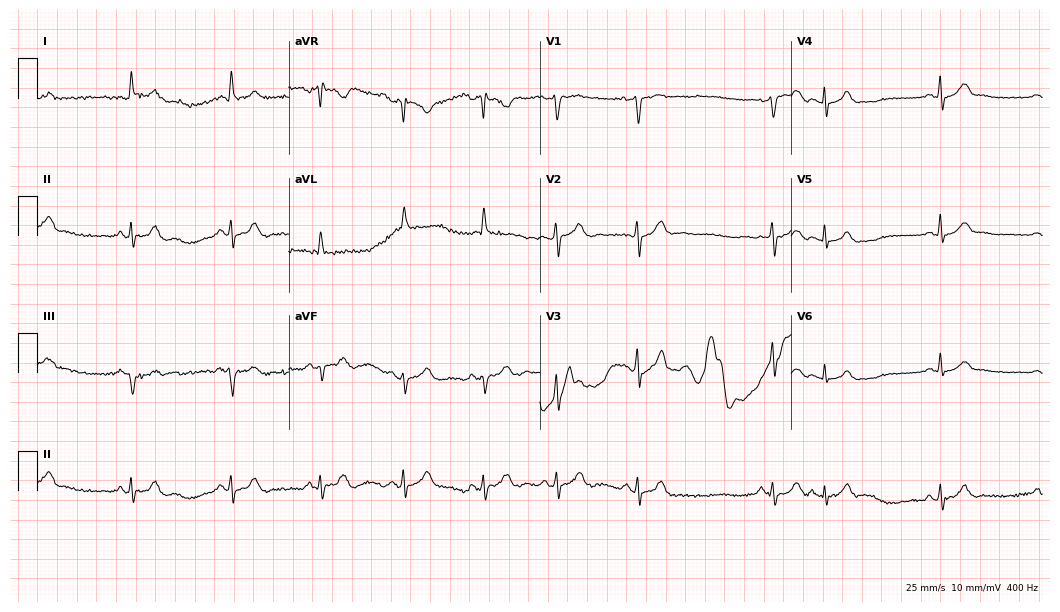
12-lead ECG from a woman, 66 years old. Screened for six findings — first-degree AV block, right bundle branch block, left bundle branch block, sinus bradycardia, atrial fibrillation, sinus tachycardia — none is recorded. Only these six findings were labelled.